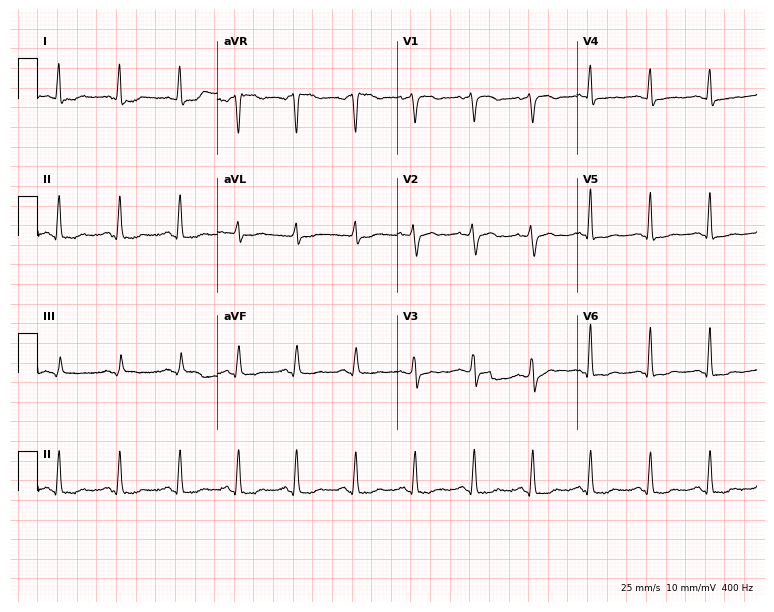
Electrocardiogram, a 55-year-old woman. Of the six screened findings (first-degree AV block, right bundle branch block, left bundle branch block, sinus bradycardia, atrial fibrillation, sinus tachycardia), none is recorded. Only these six findings were labelled.